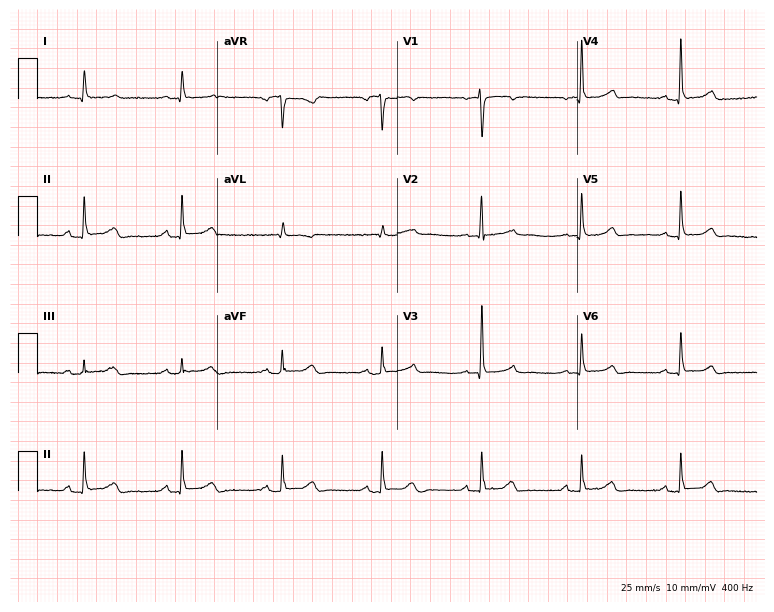
12-lead ECG from an 85-year-old woman (7.3-second recording at 400 Hz). No first-degree AV block, right bundle branch block, left bundle branch block, sinus bradycardia, atrial fibrillation or sinus tachycardia recorded for this tracing. Only these six findings were labelled.